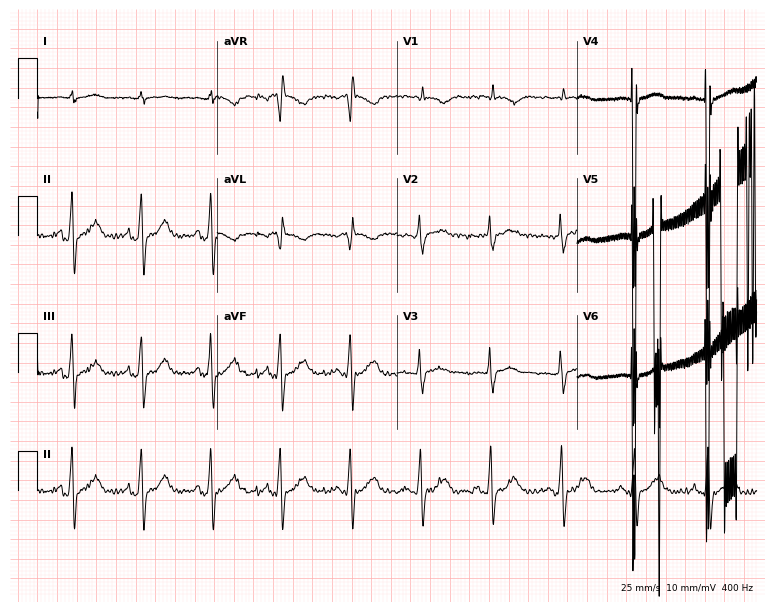
Resting 12-lead electrocardiogram (7.3-second recording at 400 Hz). Patient: a 42-year-old male. None of these six findings is recorded: first-degree AV block, right bundle branch block, left bundle branch block, sinus bradycardia, atrial fibrillation, sinus tachycardia. Findings outside these six are not listed.